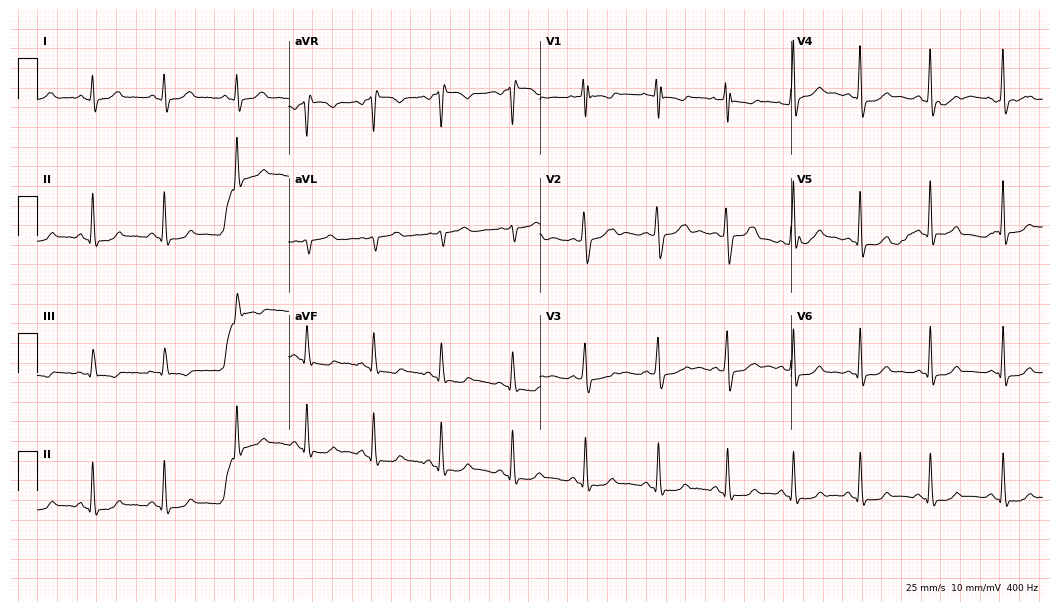
ECG — a 22-year-old female. Labelled as a normal ECG.